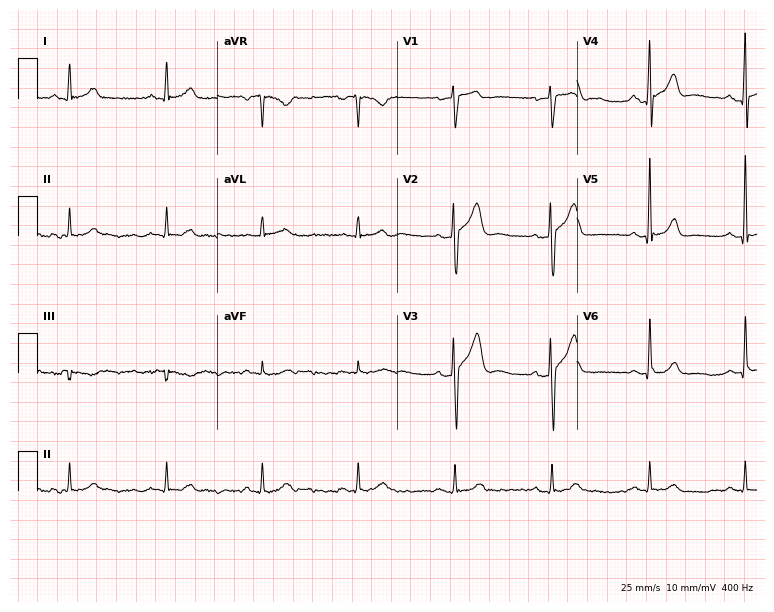
Standard 12-lead ECG recorded from a male patient, 60 years old (7.3-second recording at 400 Hz). None of these six findings is recorded: first-degree AV block, right bundle branch block, left bundle branch block, sinus bradycardia, atrial fibrillation, sinus tachycardia.